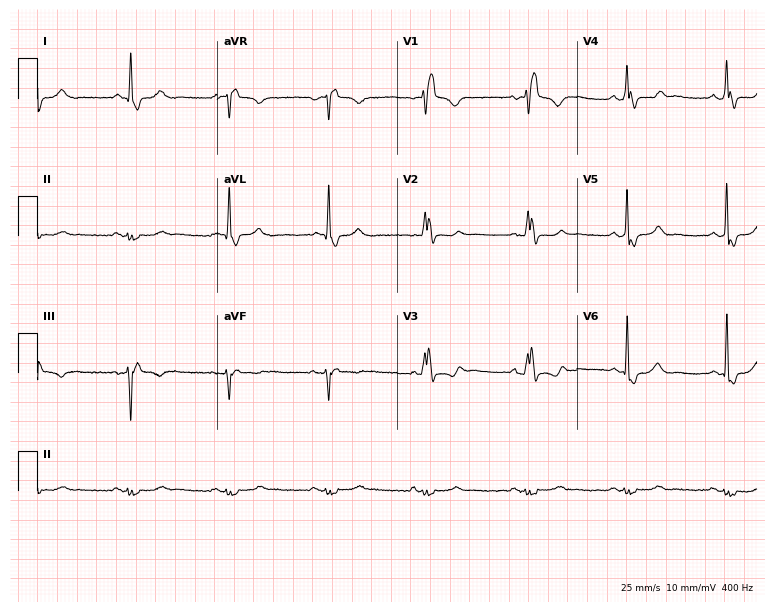
12-lead ECG (7.3-second recording at 400 Hz) from a male patient, 67 years old. Screened for six findings — first-degree AV block, right bundle branch block, left bundle branch block, sinus bradycardia, atrial fibrillation, sinus tachycardia — none is recorded. Only these six findings were labelled.